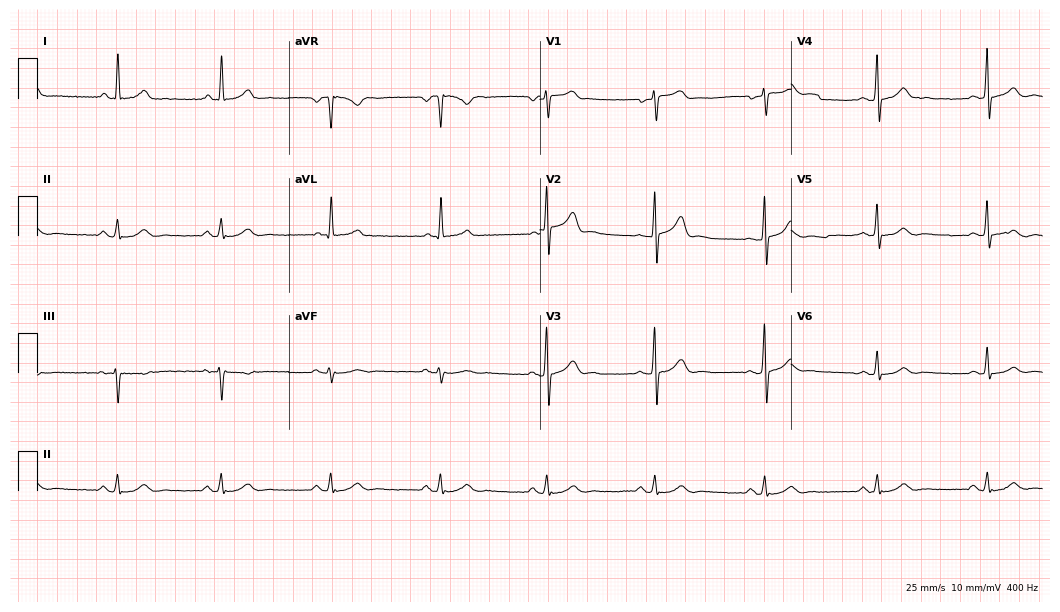
ECG (10.2-second recording at 400 Hz) — a 67-year-old man. Labelled as a normal ECG.